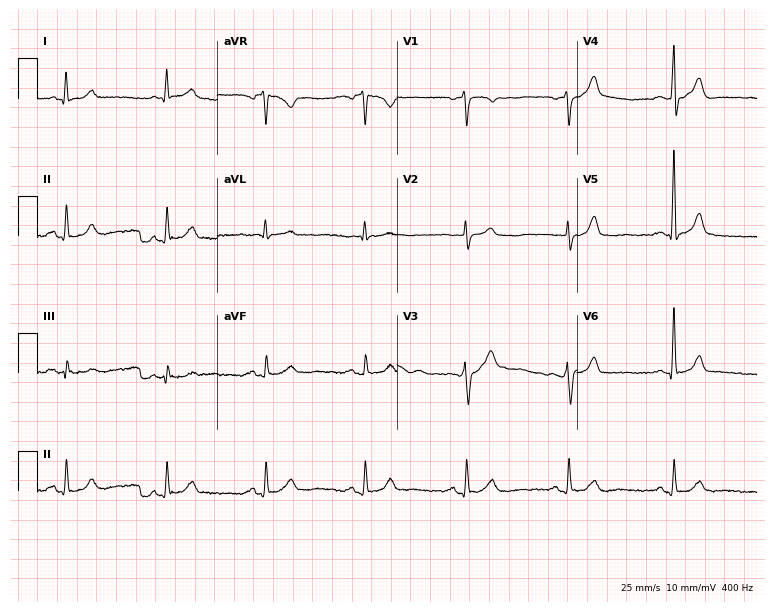
12-lead ECG from a 62-year-old man. Labelled as a normal ECG.